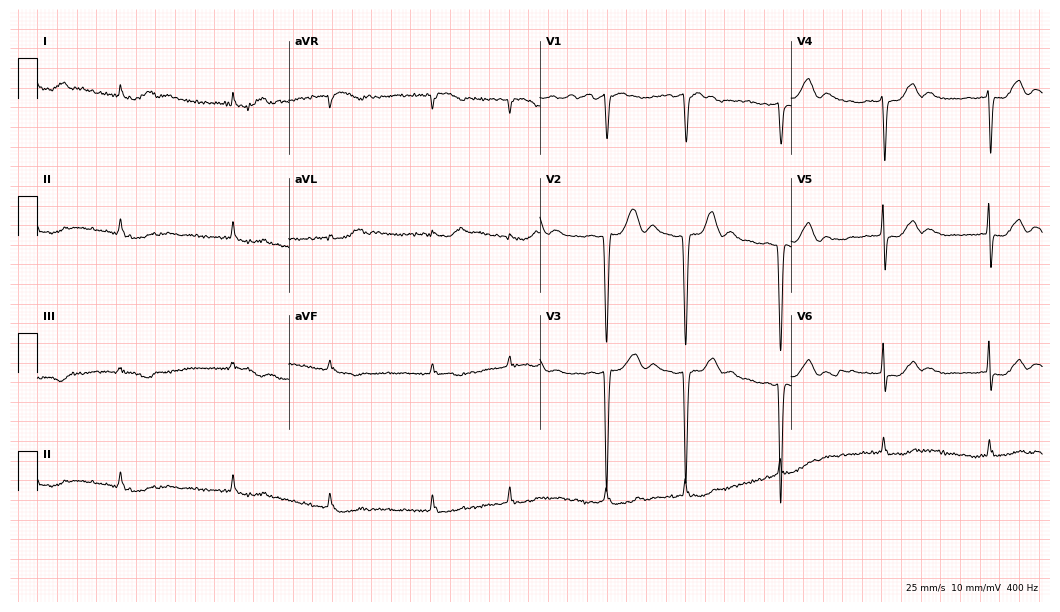
Electrocardiogram (10.2-second recording at 400 Hz), an 84-year-old man. Interpretation includes atrial fibrillation (AF).